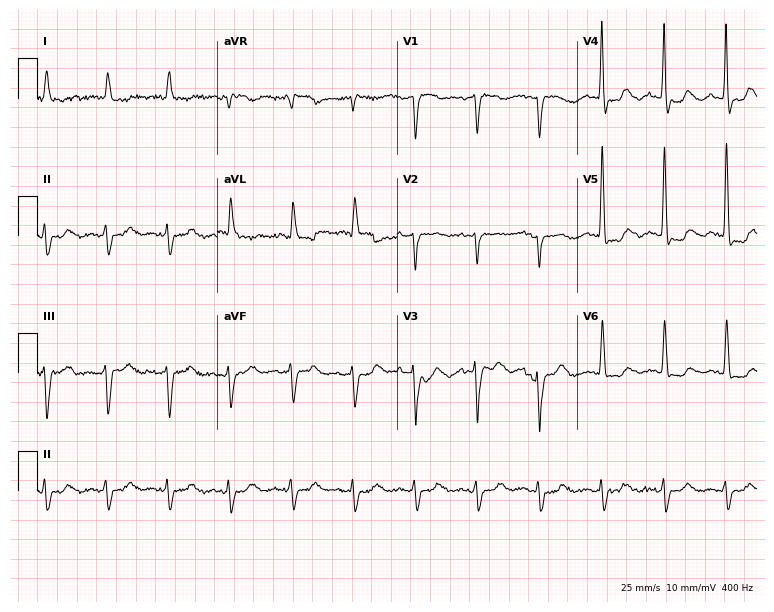
12-lead ECG from an 83-year-old woman. Screened for six findings — first-degree AV block, right bundle branch block, left bundle branch block, sinus bradycardia, atrial fibrillation, sinus tachycardia — none is recorded.